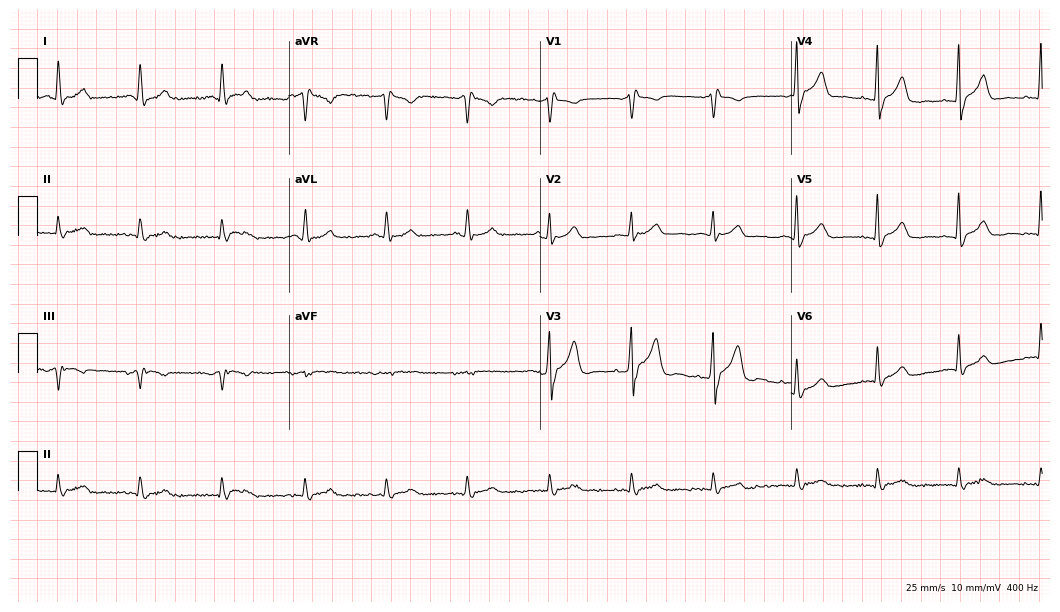
Electrocardiogram, a man, 54 years old. Of the six screened findings (first-degree AV block, right bundle branch block, left bundle branch block, sinus bradycardia, atrial fibrillation, sinus tachycardia), none is recorded.